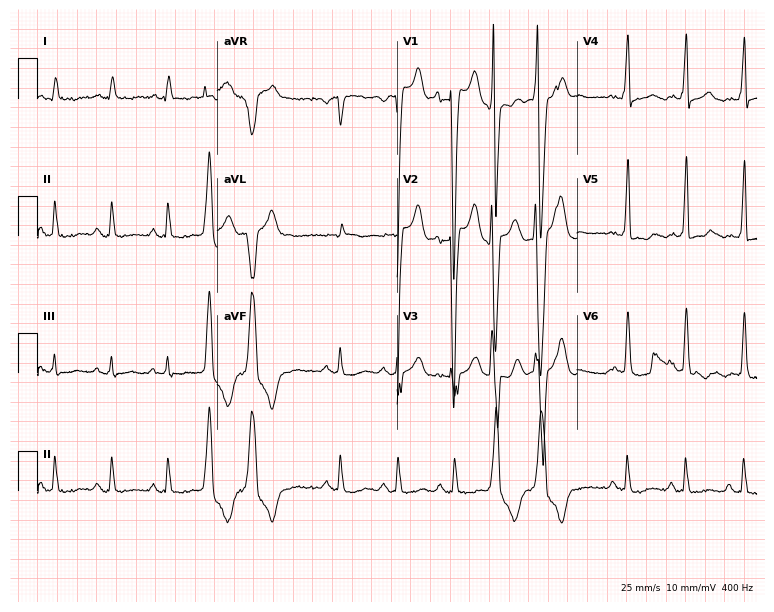
Electrocardiogram, a man, 78 years old. Of the six screened findings (first-degree AV block, right bundle branch block, left bundle branch block, sinus bradycardia, atrial fibrillation, sinus tachycardia), none is recorded. Findings outside these six are not listed.